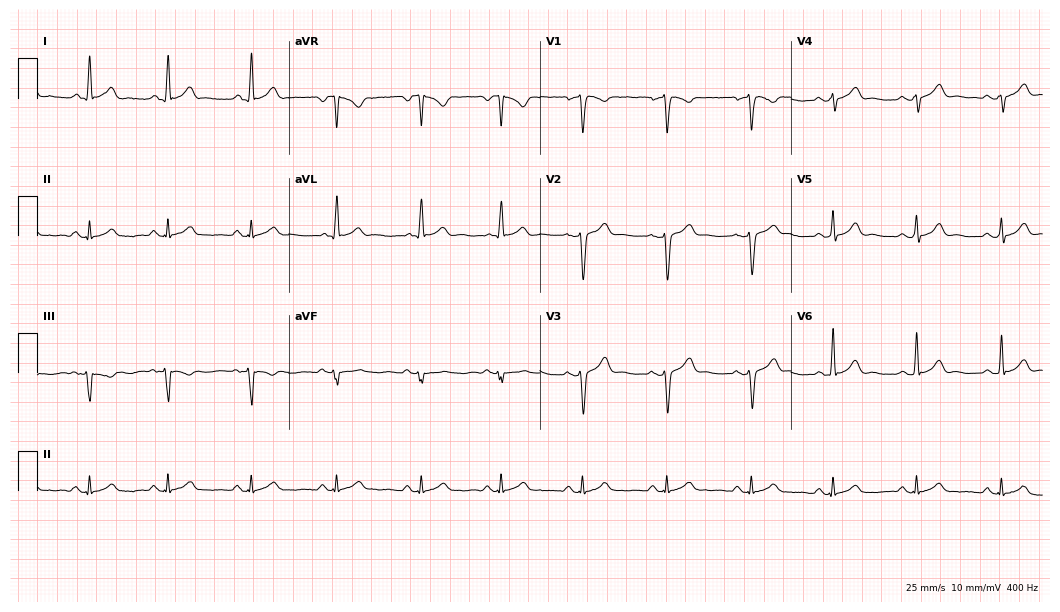
Electrocardiogram (10.2-second recording at 400 Hz), a man, 31 years old. Overall reading on record: normal ECG.